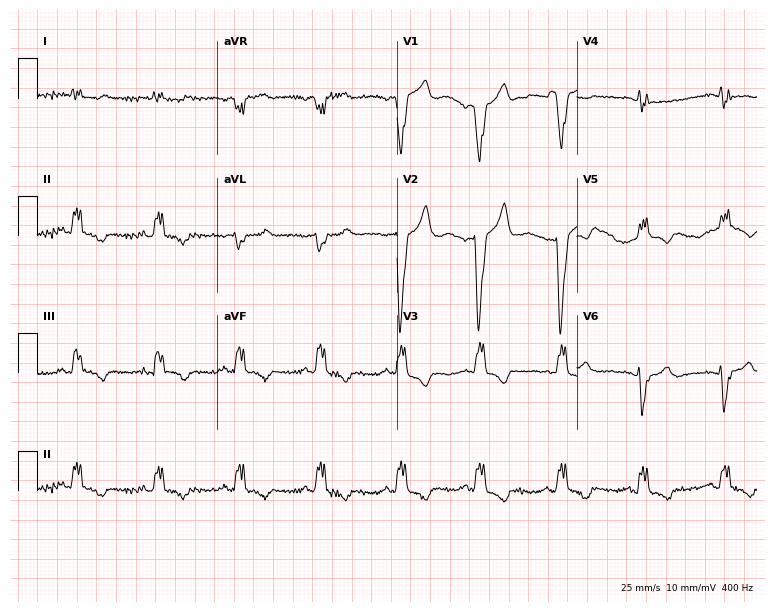
12-lead ECG from a male patient, 75 years old. No first-degree AV block, right bundle branch block, left bundle branch block, sinus bradycardia, atrial fibrillation or sinus tachycardia recorded for this tracing.